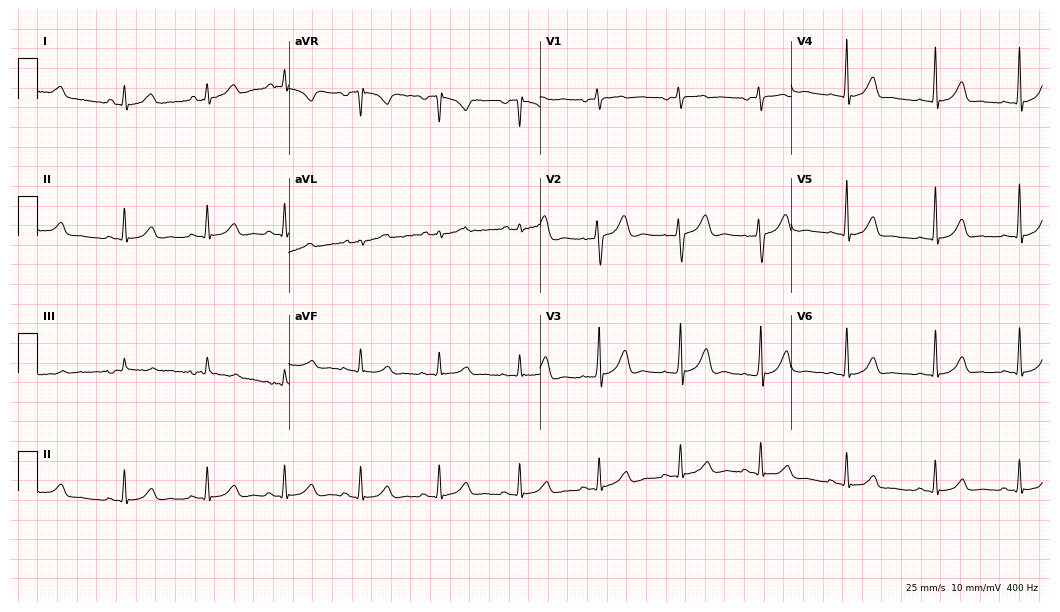
Standard 12-lead ECG recorded from a 39-year-old female. Read as a normal ECG.